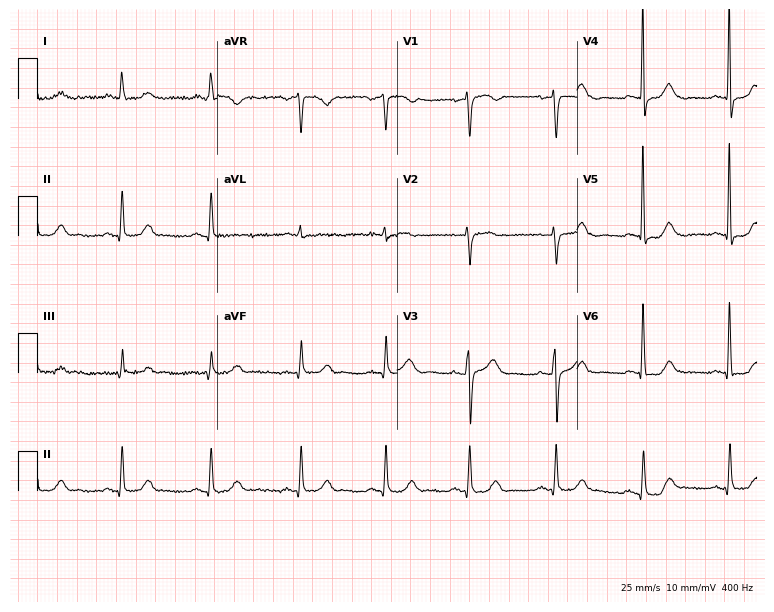
Resting 12-lead electrocardiogram (7.3-second recording at 400 Hz). Patient: a 50-year-old female. None of these six findings is recorded: first-degree AV block, right bundle branch block, left bundle branch block, sinus bradycardia, atrial fibrillation, sinus tachycardia.